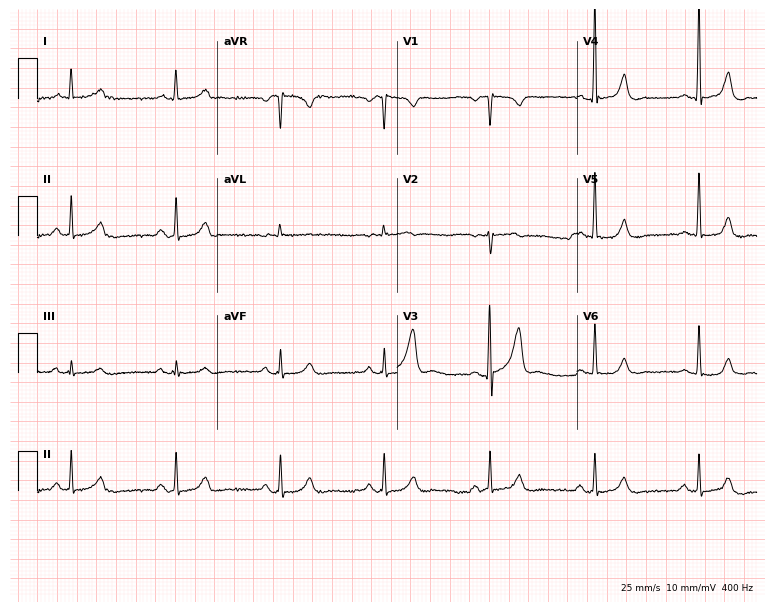
Resting 12-lead electrocardiogram. Patient: a 64-year-old man. Read as a normal ECG.